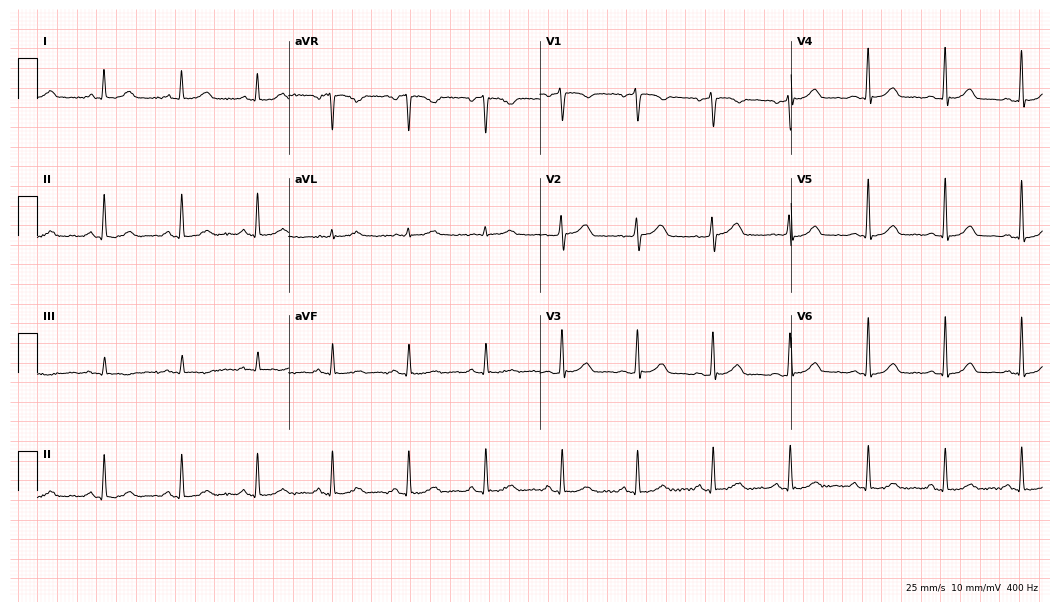
12-lead ECG from a 52-year-old woman (10.2-second recording at 400 Hz). No first-degree AV block, right bundle branch block, left bundle branch block, sinus bradycardia, atrial fibrillation or sinus tachycardia recorded for this tracing.